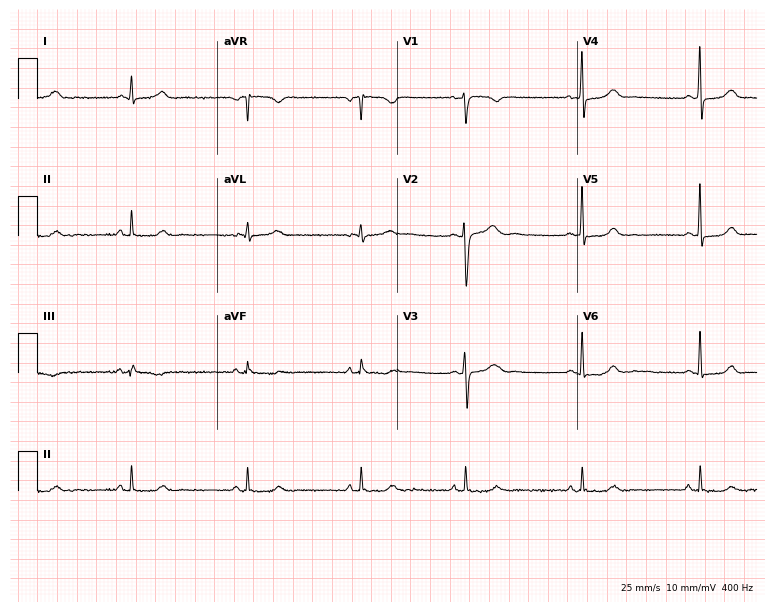
12-lead ECG from a female, 32 years old. No first-degree AV block, right bundle branch block, left bundle branch block, sinus bradycardia, atrial fibrillation or sinus tachycardia recorded for this tracing. Findings outside these six are not listed.